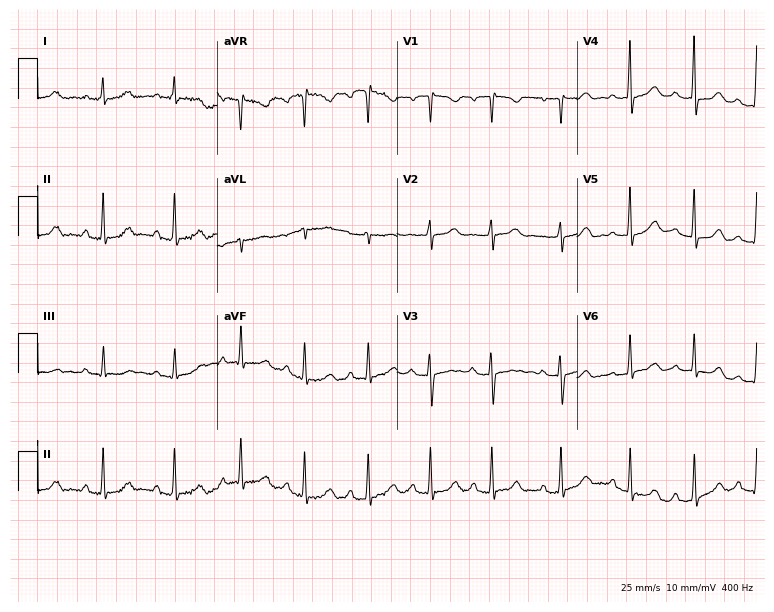
12-lead ECG (7.3-second recording at 400 Hz) from a female patient, 18 years old. Screened for six findings — first-degree AV block, right bundle branch block, left bundle branch block, sinus bradycardia, atrial fibrillation, sinus tachycardia — none is recorded.